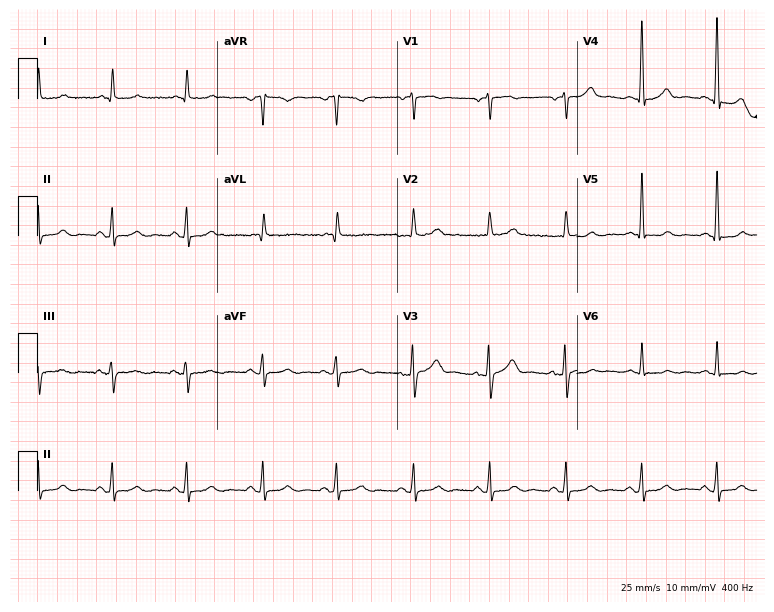
Standard 12-lead ECG recorded from a male patient, 82 years old. None of these six findings is recorded: first-degree AV block, right bundle branch block (RBBB), left bundle branch block (LBBB), sinus bradycardia, atrial fibrillation (AF), sinus tachycardia. Other findings, if any, are not listed.